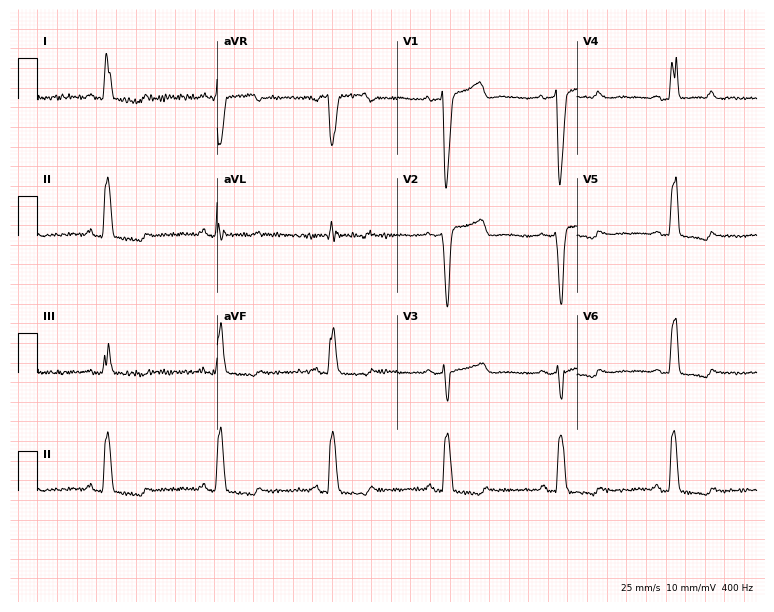
ECG (7.3-second recording at 400 Hz) — a female, 81 years old. Findings include left bundle branch block (LBBB).